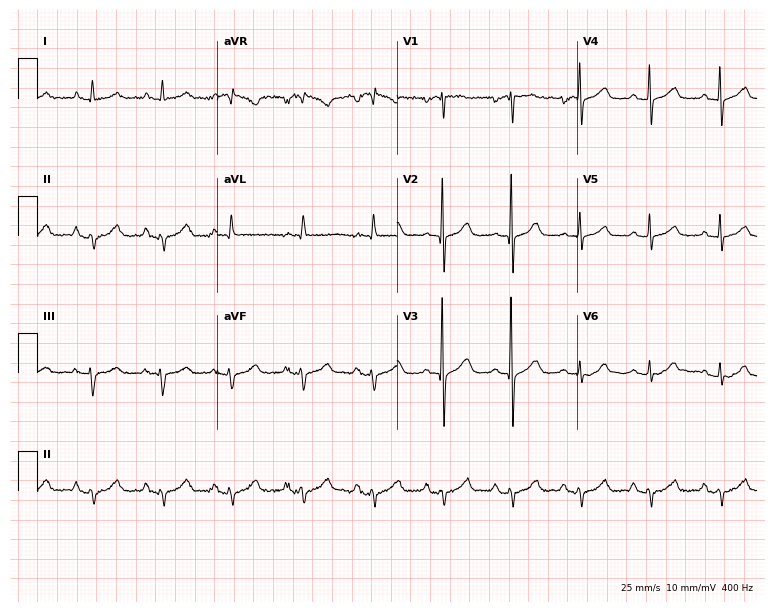
Electrocardiogram, a female patient, 81 years old. Of the six screened findings (first-degree AV block, right bundle branch block, left bundle branch block, sinus bradycardia, atrial fibrillation, sinus tachycardia), none is recorded.